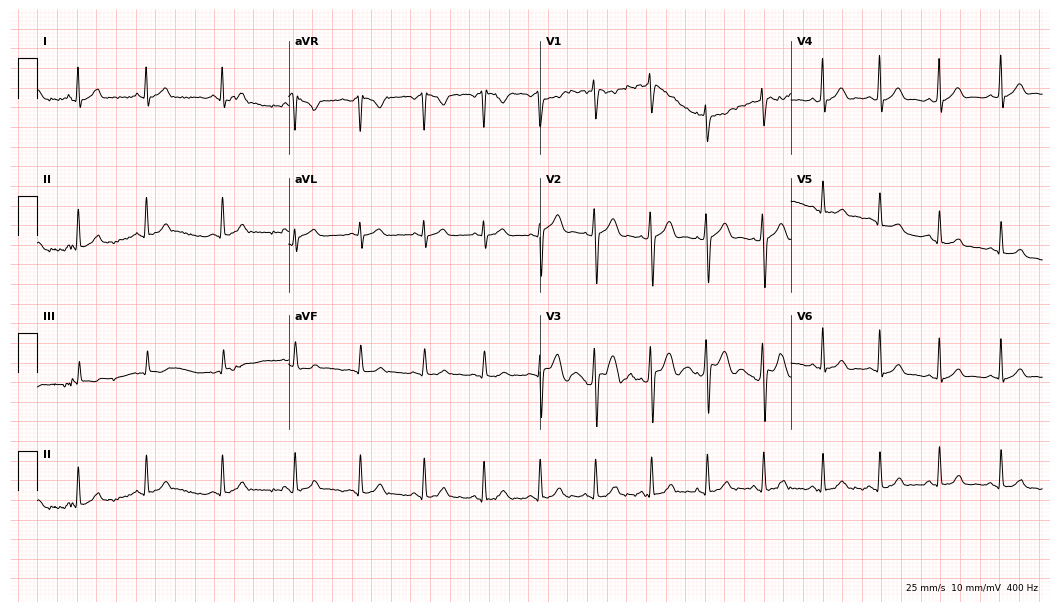
ECG (10.2-second recording at 400 Hz) — a 20-year-old male patient. Screened for six findings — first-degree AV block, right bundle branch block (RBBB), left bundle branch block (LBBB), sinus bradycardia, atrial fibrillation (AF), sinus tachycardia — none is recorded. Other findings, if any, are not listed.